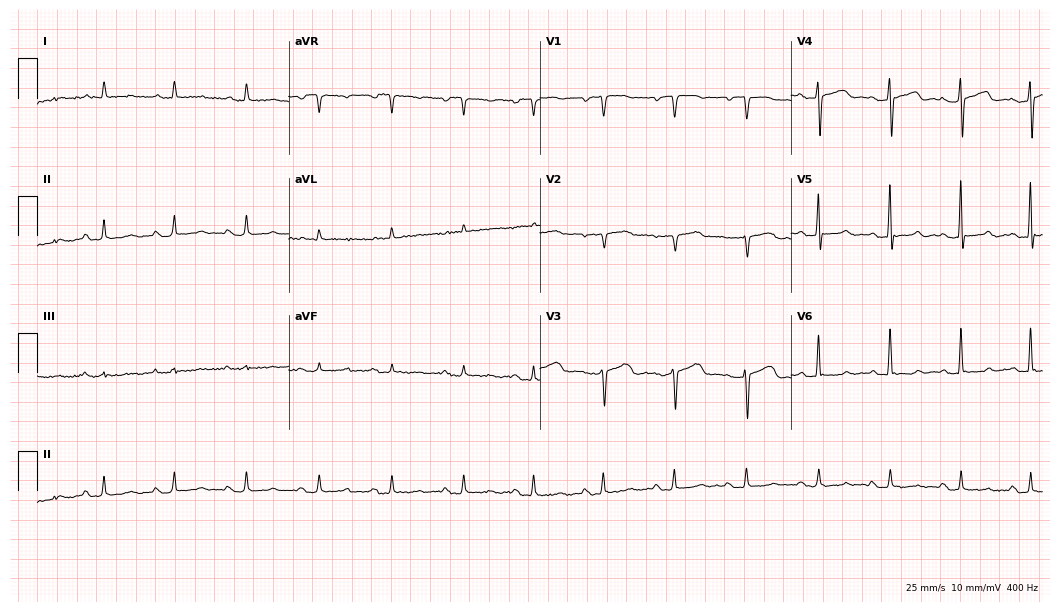
Resting 12-lead electrocardiogram (10.2-second recording at 400 Hz). Patient: a woman, 70 years old. None of these six findings is recorded: first-degree AV block, right bundle branch block, left bundle branch block, sinus bradycardia, atrial fibrillation, sinus tachycardia. Only these six findings were labelled.